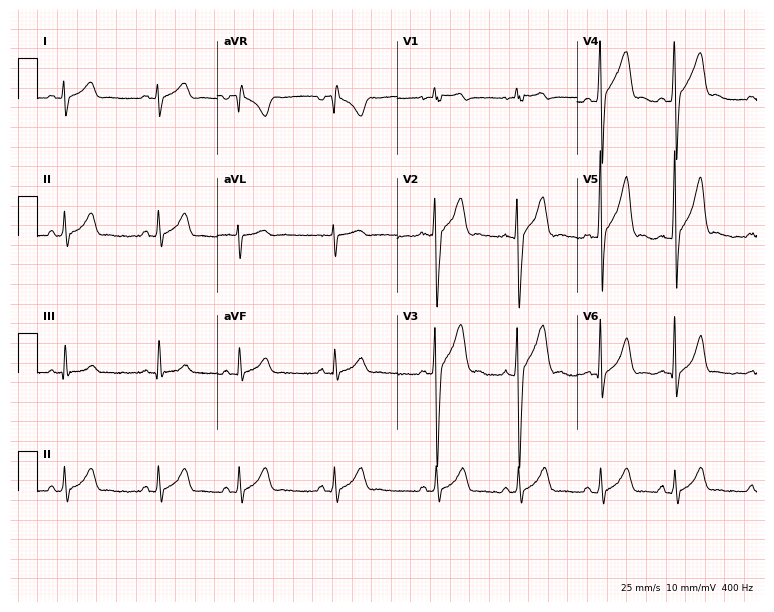
Standard 12-lead ECG recorded from a male, 17 years old (7.3-second recording at 400 Hz). None of these six findings is recorded: first-degree AV block, right bundle branch block, left bundle branch block, sinus bradycardia, atrial fibrillation, sinus tachycardia. Only these six findings were labelled.